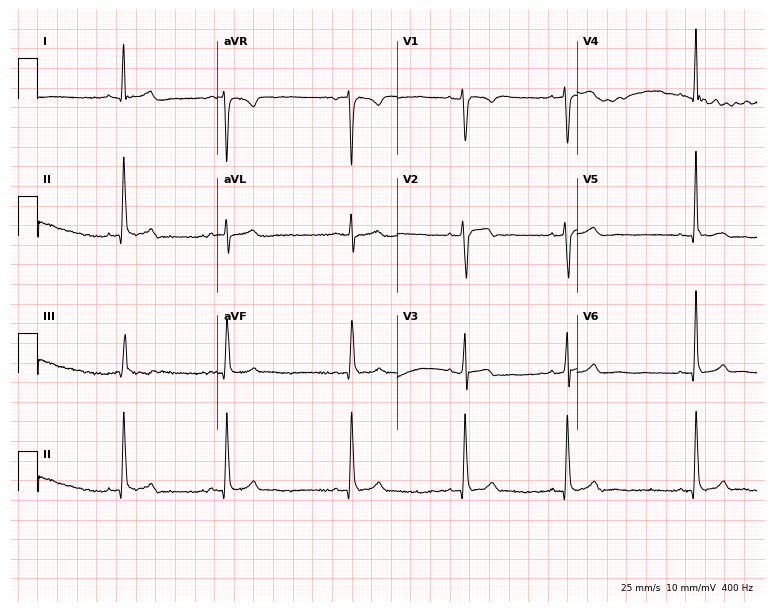
12-lead ECG from a male patient, 25 years old. Recorded interpretation: within normal limits.